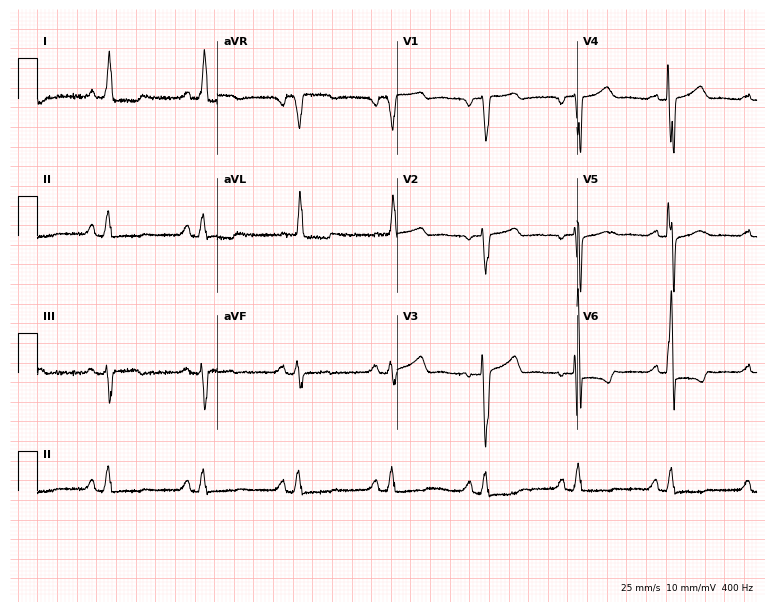
12-lead ECG from a female, 76 years old. No first-degree AV block, right bundle branch block (RBBB), left bundle branch block (LBBB), sinus bradycardia, atrial fibrillation (AF) or sinus tachycardia recorded for this tracing. Other findings, if any, are not listed.